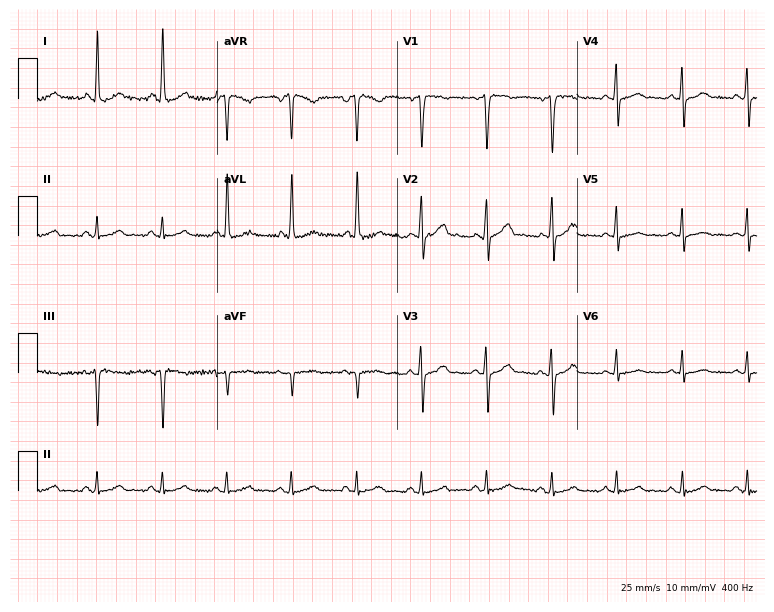
Standard 12-lead ECG recorded from a woman, 60 years old (7.3-second recording at 400 Hz). Read as a normal ECG.